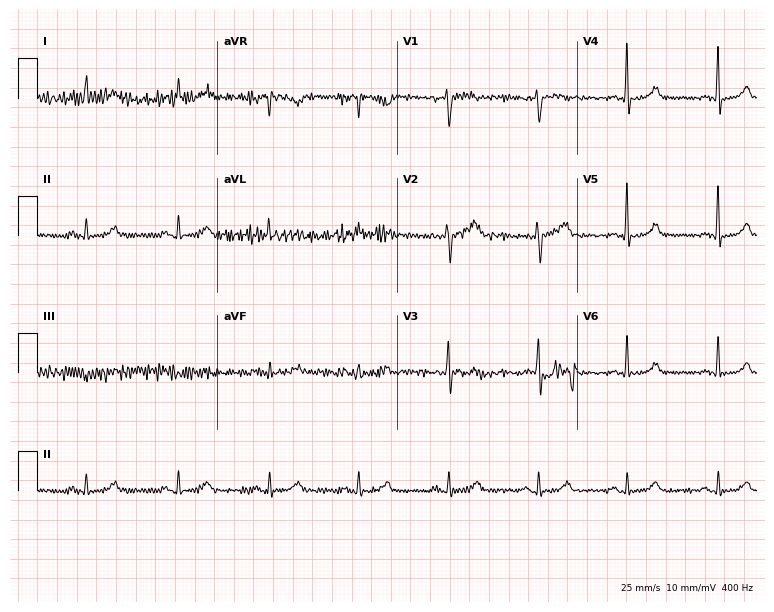
12-lead ECG from a 53-year-old female. Screened for six findings — first-degree AV block, right bundle branch block (RBBB), left bundle branch block (LBBB), sinus bradycardia, atrial fibrillation (AF), sinus tachycardia — none is recorded. Other findings, if any, are not listed.